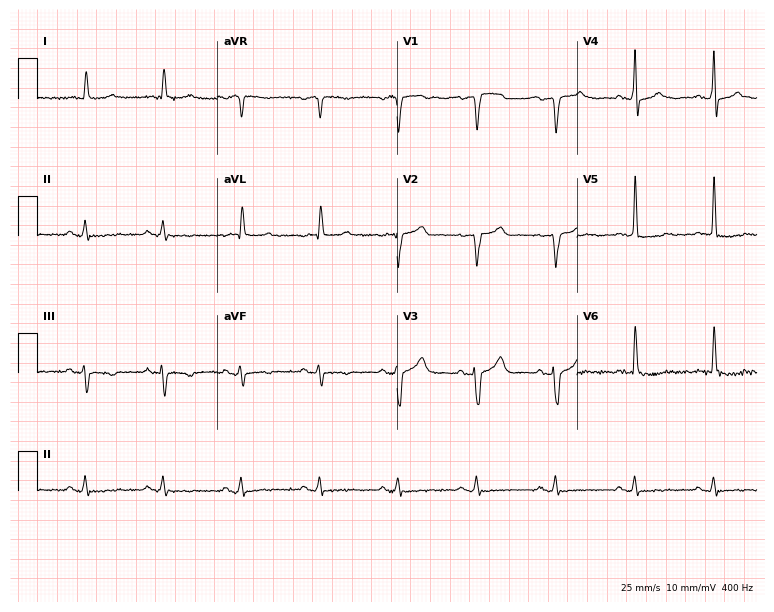
12-lead ECG (7.3-second recording at 400 Hz) from an 82-year-old male. Labelled as a normal ECG.